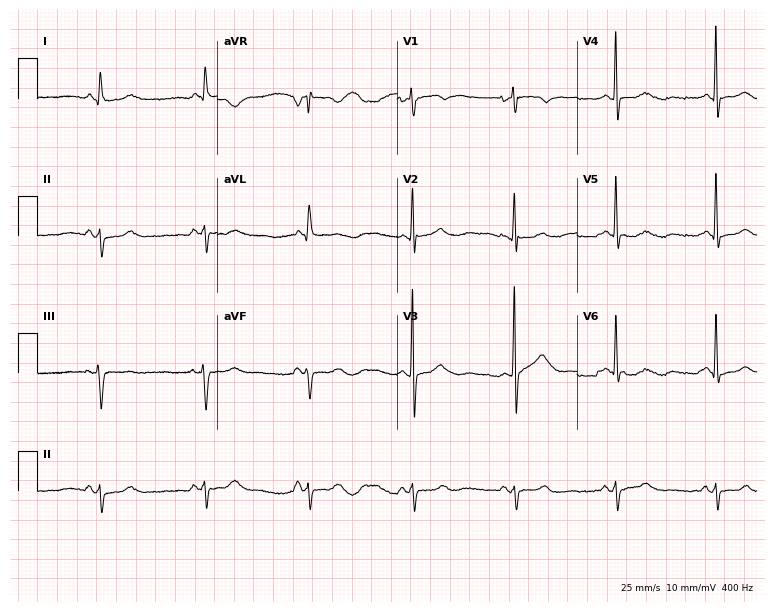
Electrocardiogram, an 85-year-old male. Of the six screened findings (first-degree AV block, right bundle branch block, left bundle branch block, sinus bradycardia, atrial fibrillation, sinus tachycardia), none is recorded. Other findings, if any, are not listed.